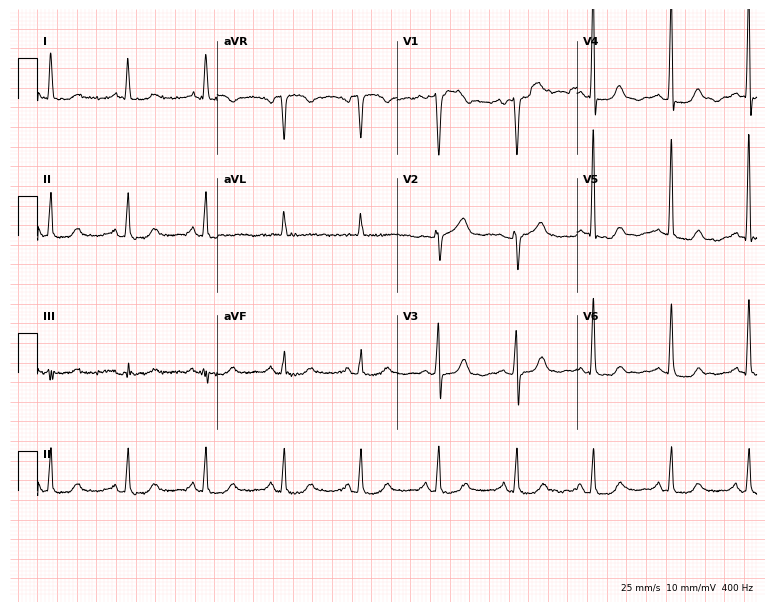
Electrocardiogram (7.3-second recording at 400 Hz), an 81-year-old woman. Of the six screened findings (first-degree AV block, right bundle branch block, left bundle branch block, sinus bradycardia, atrial fibrillation, sinus tachycardia), none is recorded. Other findings, if any, are not listed.